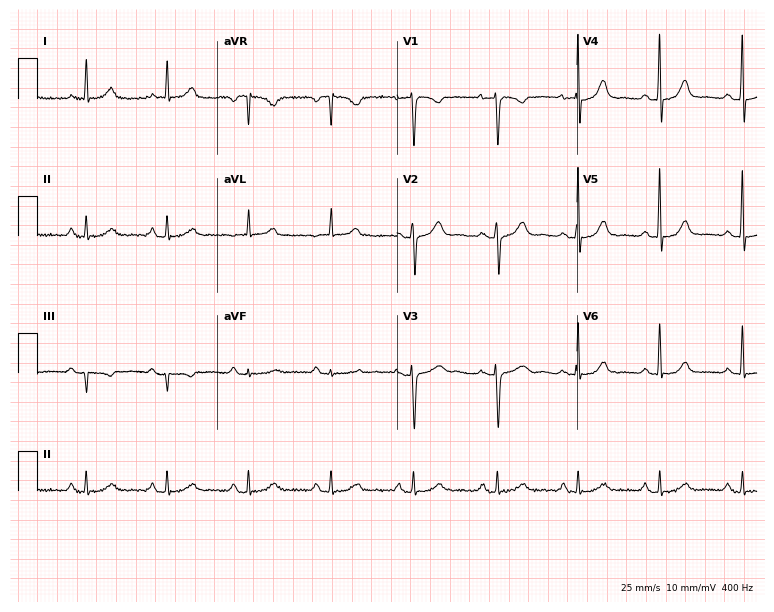
Standard 12-lead ECG recorded from a female patient, 49 years old (7.3-second recording at 400 Hz). Read as a normal ECG.